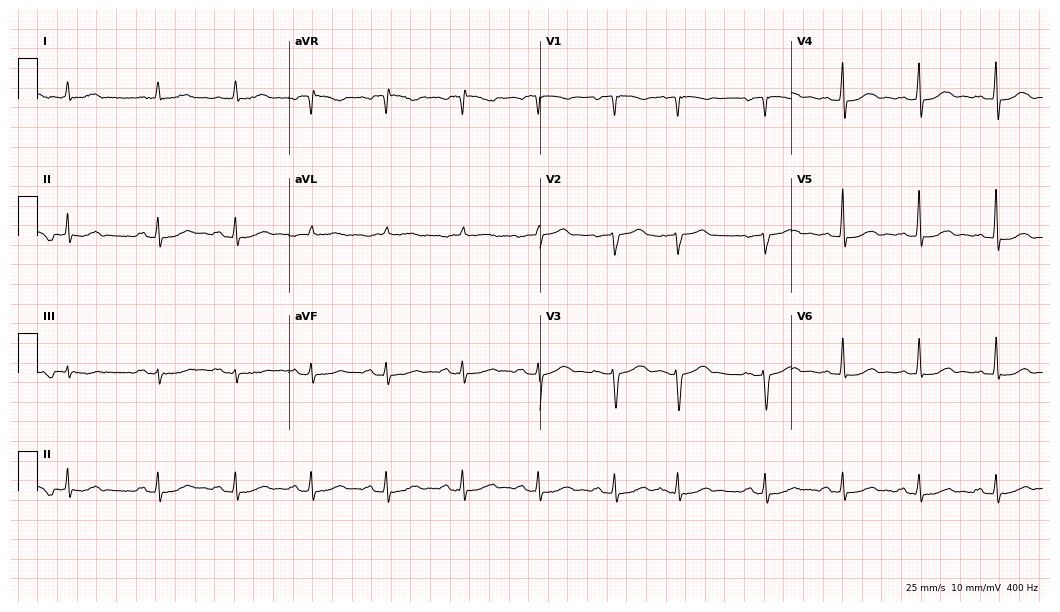
12-lead ECG from a female patient, 67 years old. Screened for six findings — first-degree AV block, right bundle branch block, left bundle branch block, sinus bradycardia, atrial fibrillation, sinus tachycardia — none is recorded.